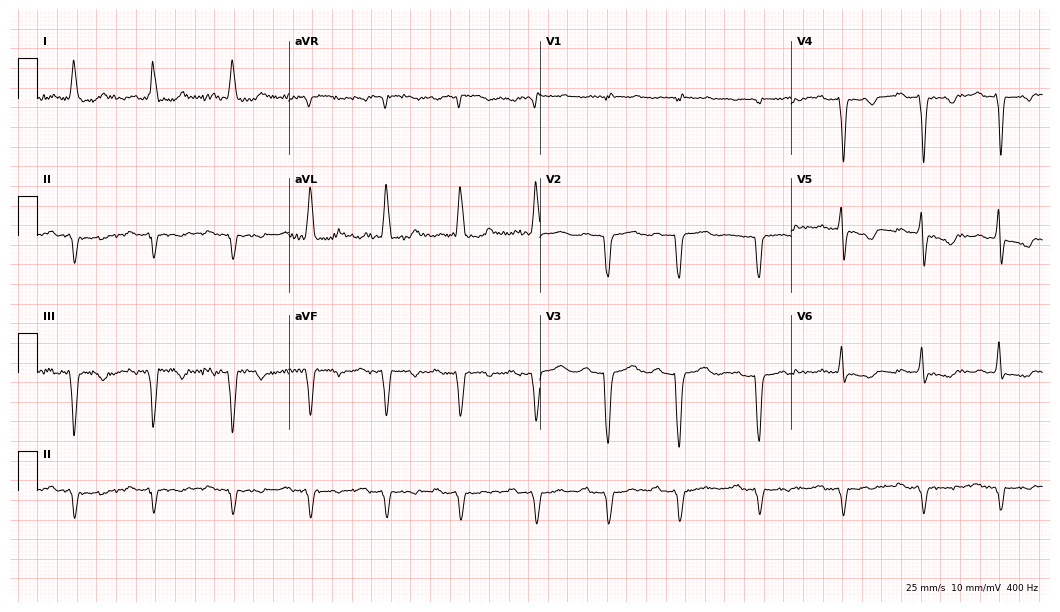
ECG — a 77-year-old female patient. Screened for six findings — first-degree AV block, right bundle branch block (RBBB), left bundle branch block (LBBB), sinus bradycardia, atrial fibrillation (AF), sinus tachycardia — none is recorded. Findings outside these six are not listed.